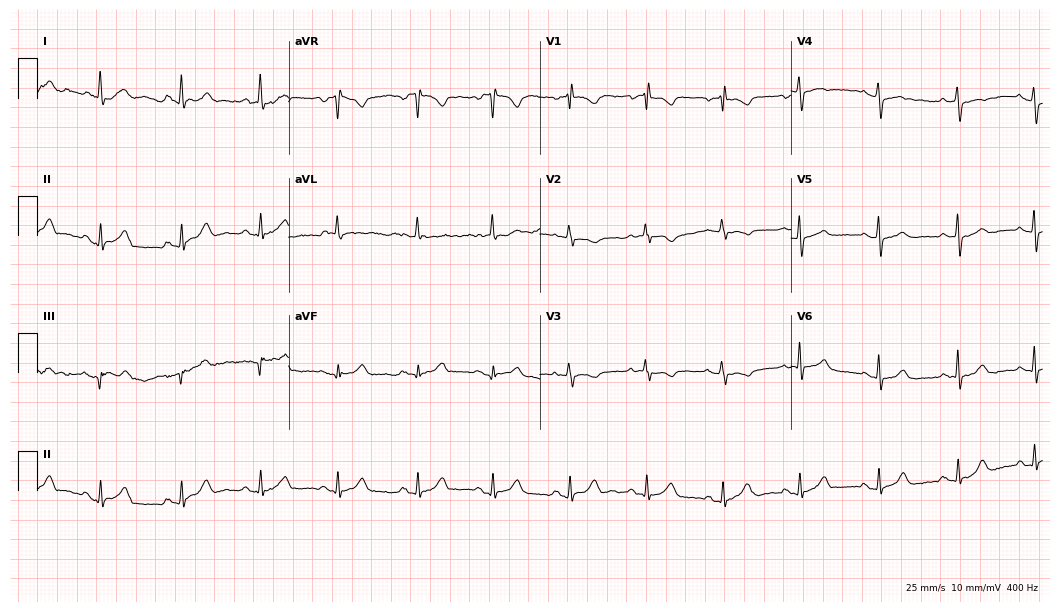
12-lead ECG from a woman, 75 years old. Recorded interpretation: within normal limits.